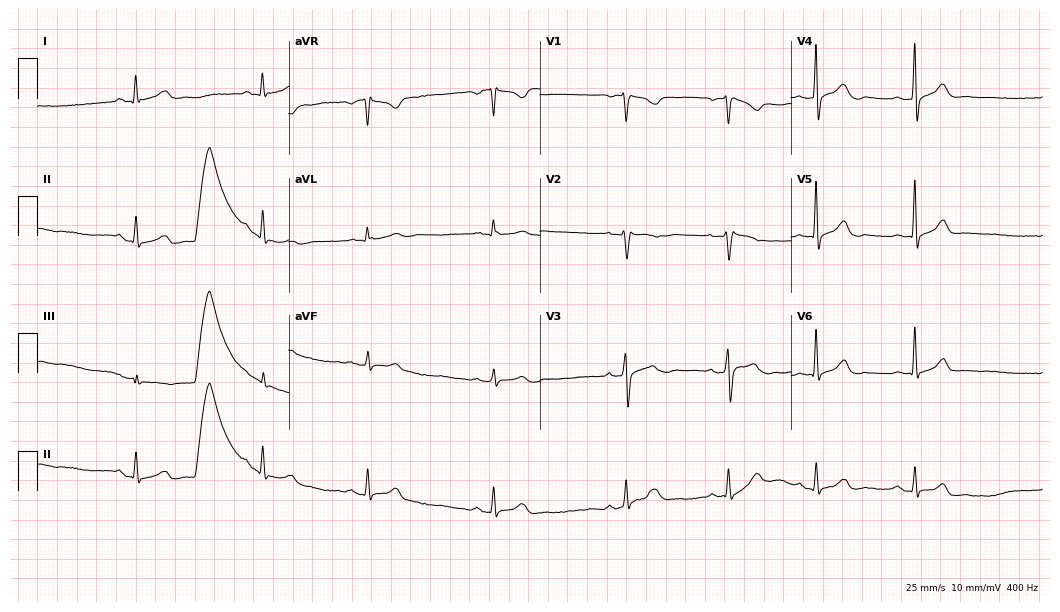
ECG (10.2-second recording at 400 Hz) — a 42-year-old male patient. Labelled as a normal ECG.